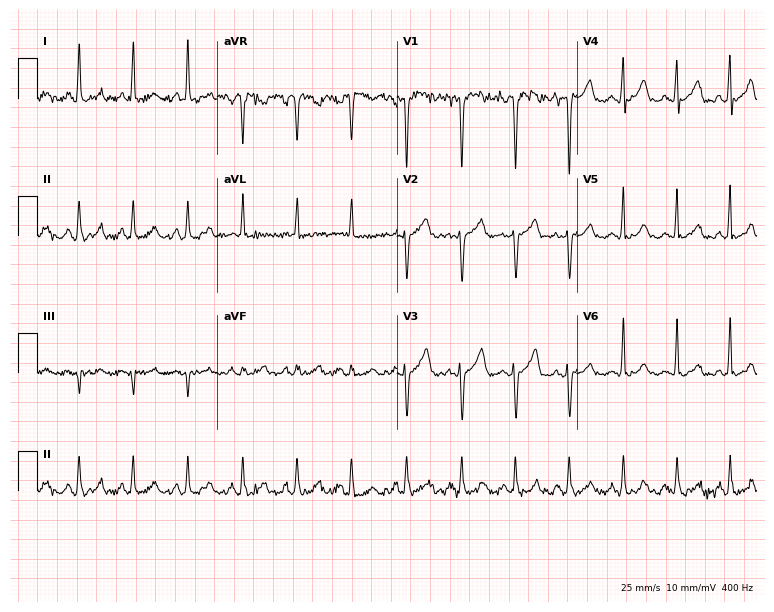
12-lead ECG from a woman, 44 years old. Shows sinus tachycardia (a sinus rate of 100 beats per minute or more).